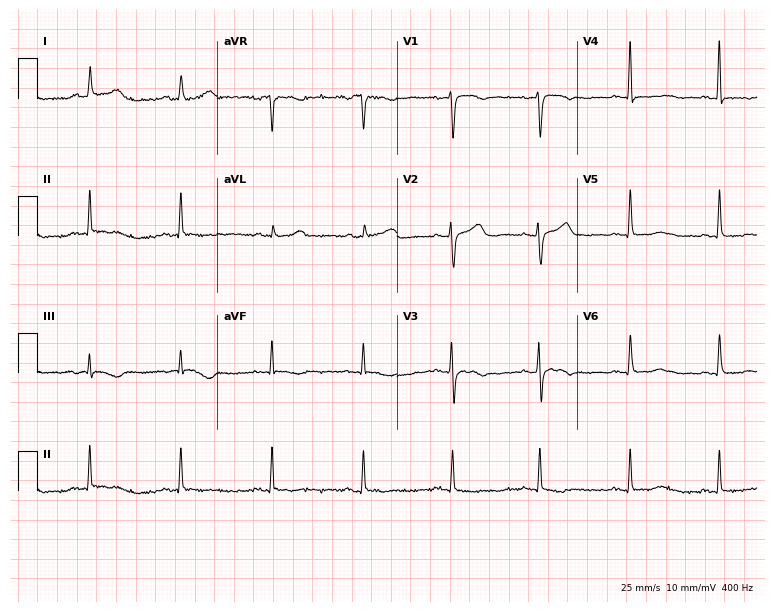
Electrocardiogram (7.3-second recording at 400 Hz), a 67-year-old female patient. Of the six screened findings (first-degree AV block, right bundle branch block, left bundle branch block, sinus bradycardia, atrial fibrillation, sinus tachycardia), none is recorded. Other findings, if any, are not listed.